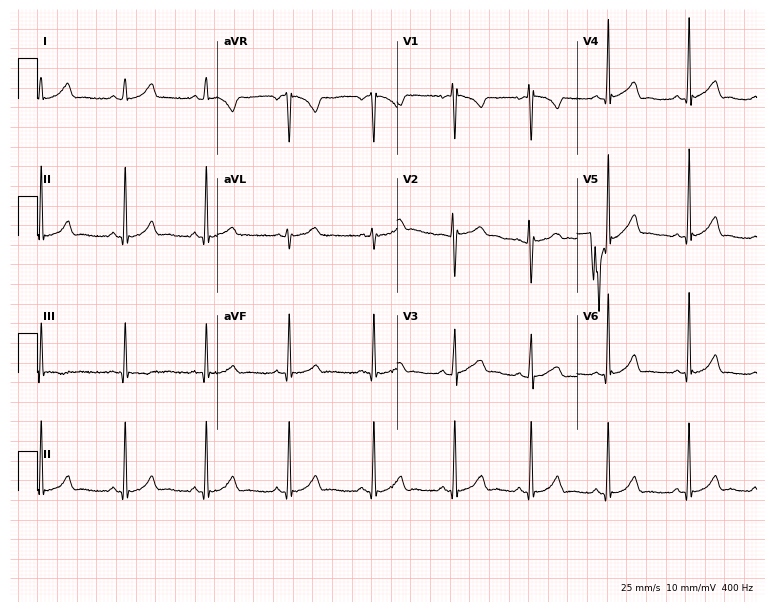
12-lead ECG from a 20-year-old female patient. Recorded interpretation: within normal limits.